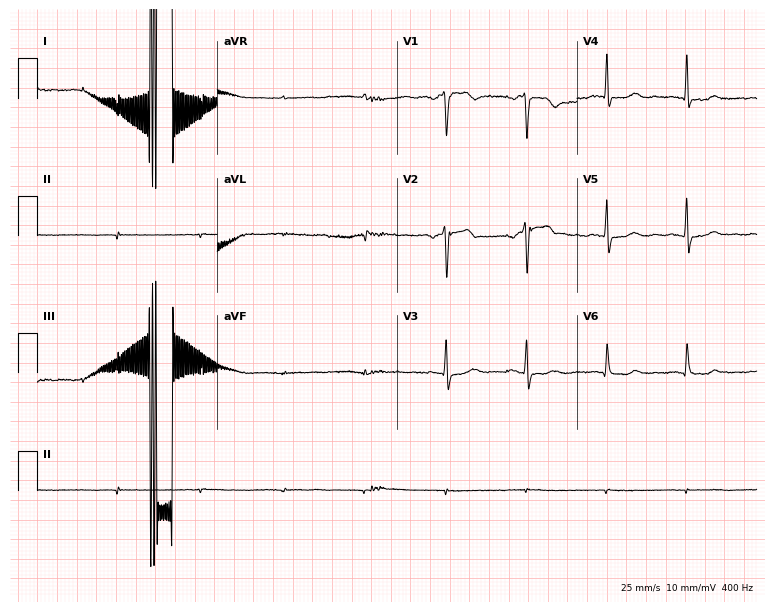
12-lead ECG (7.3-second recording at 400 Hz) from a woman, 63 years old. Screened for six findings — first-degree AV block, right bundle branch block (RBBB), left bundle branch block (LBBB), sinus bradycardia, atrial fibrillation (AF), sinus tachycardia — none is recorded.